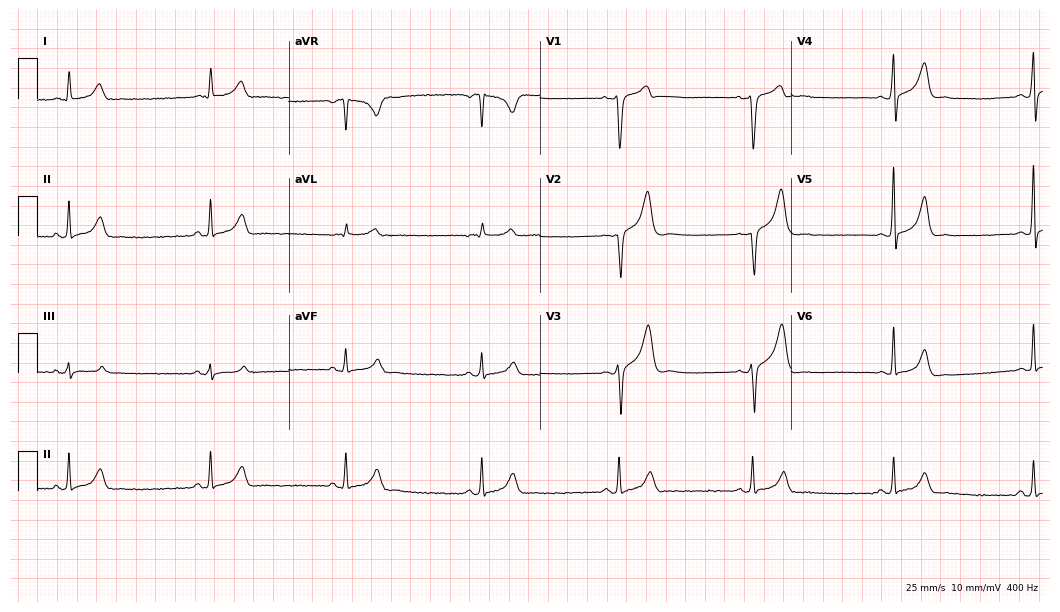
Standard 12-lead ECG recorded from a male, 34 years old. The tracing shows sinus bradycardia (a sinus rate of 50 beats per minute or less).